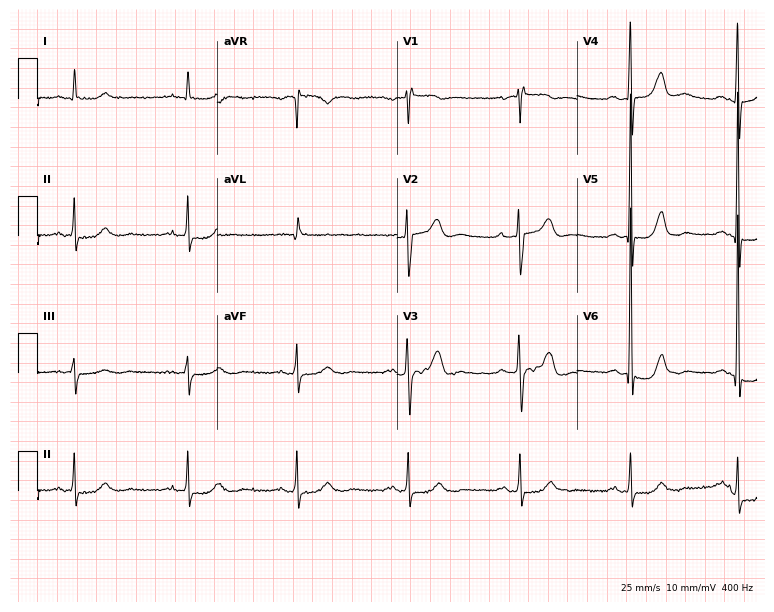
12-lead ECG from a woman, 61 years old. Recorded interpretation: within normal limits.